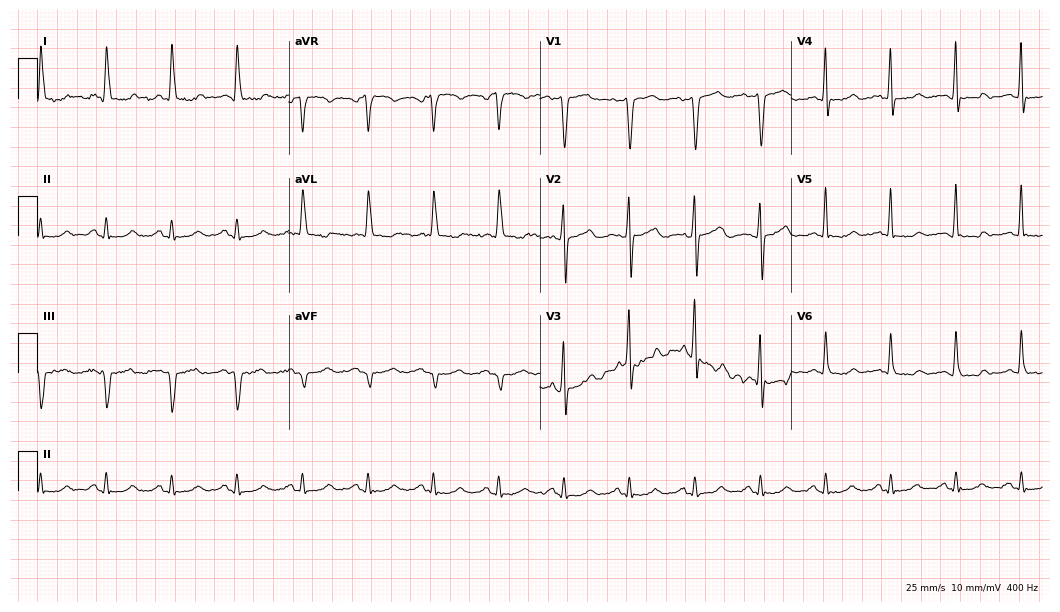
ECG (10.2-second recording at 400 Hz) — a 69-year-old man. Screened for six findings — first-degree AV block, right bundle branch block, left bundle branch block, sinus bradycardia, atrial fibrillation, sinus tachycardia — none is recorded. Findings outside these six are not listed.